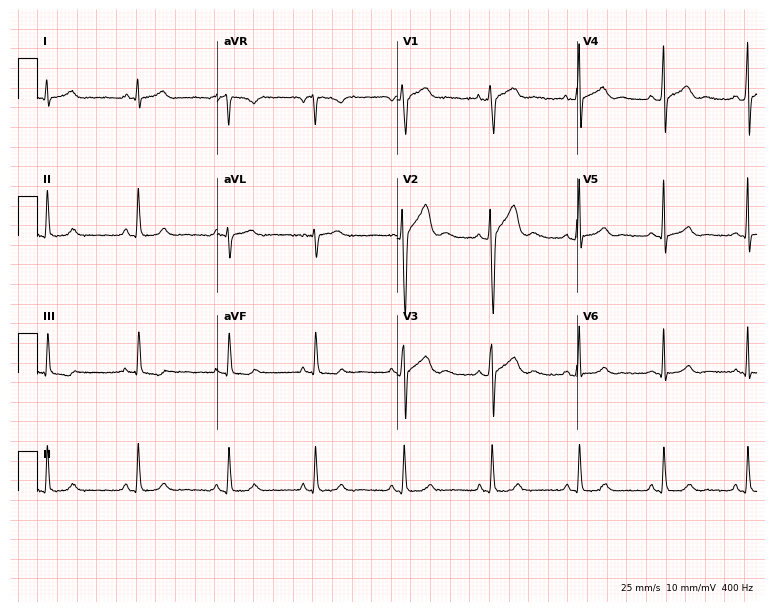
Electrocardiogram, a male, 22 years old. Overall reading on record: normal ECG.